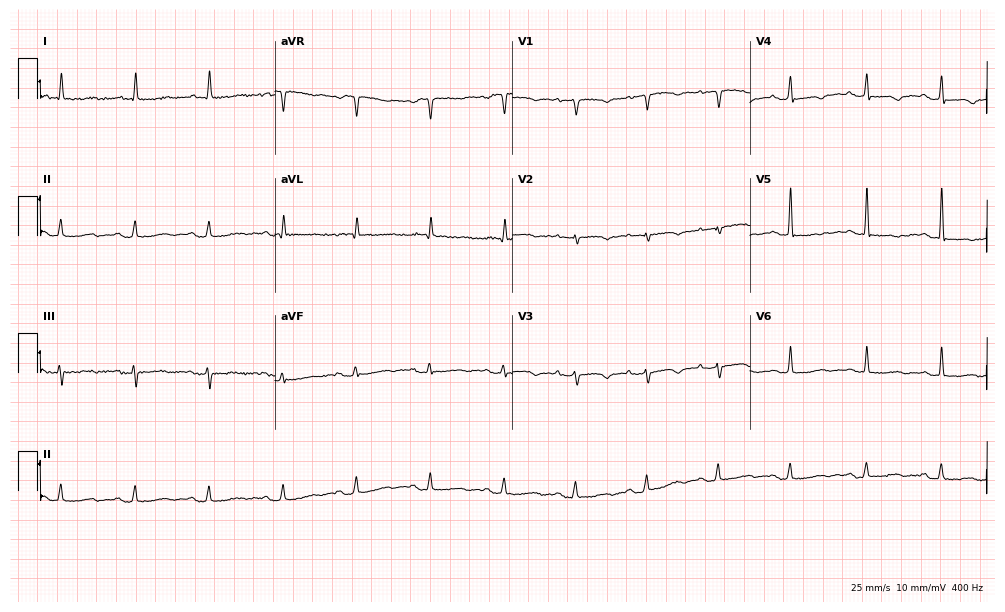
Standard 12-lead ECG recorded from a female, 81 years old. None of these six findings is recorded: first-degree AV block, right bundle branch block, left bundle branch block, sinus bradycardia, atrial fibrillation, sinus tachycardia.